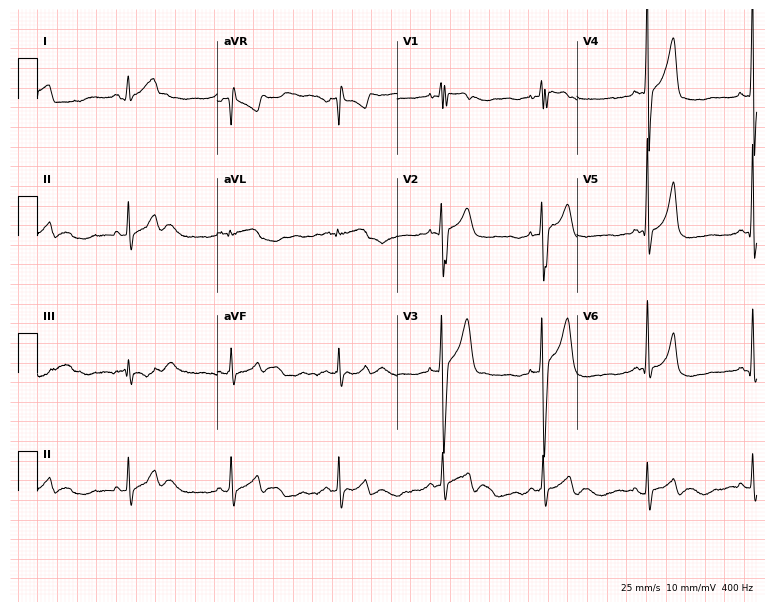
12-lead ECG from a 20-year-old male. Screened for six findings — first-degree AV block, right bundle branch block, left bundle branch block, sinus bradycardia, atrial fibrillation, sinus tachycardia — none is recorded. Findings outside these six are not listed.